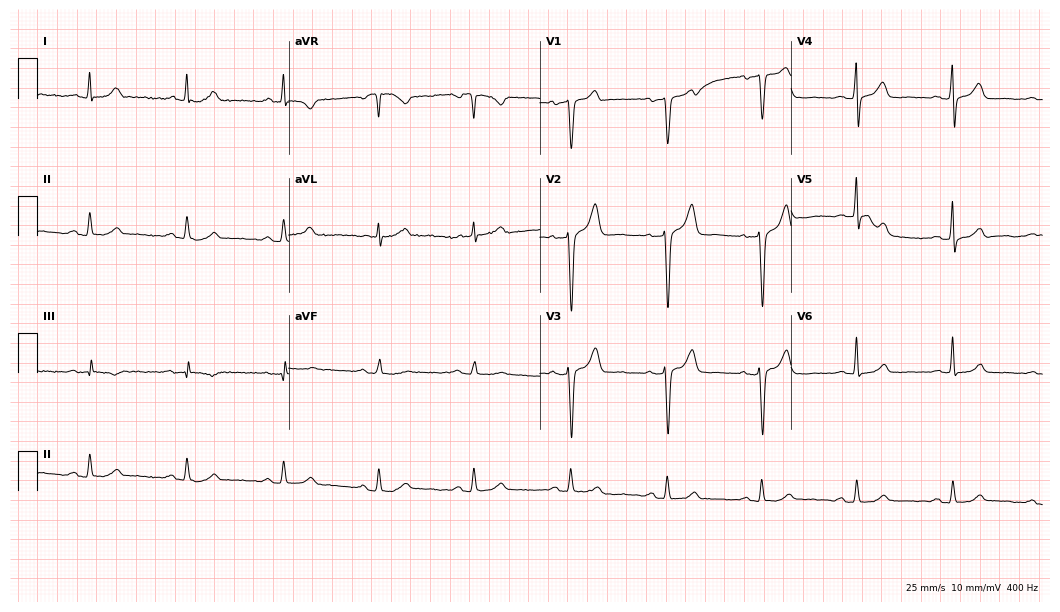
12-lead ECG from a male, 59 years old (10.2-second recording at 400 Hz). Recorded interpretation: within normal limits.